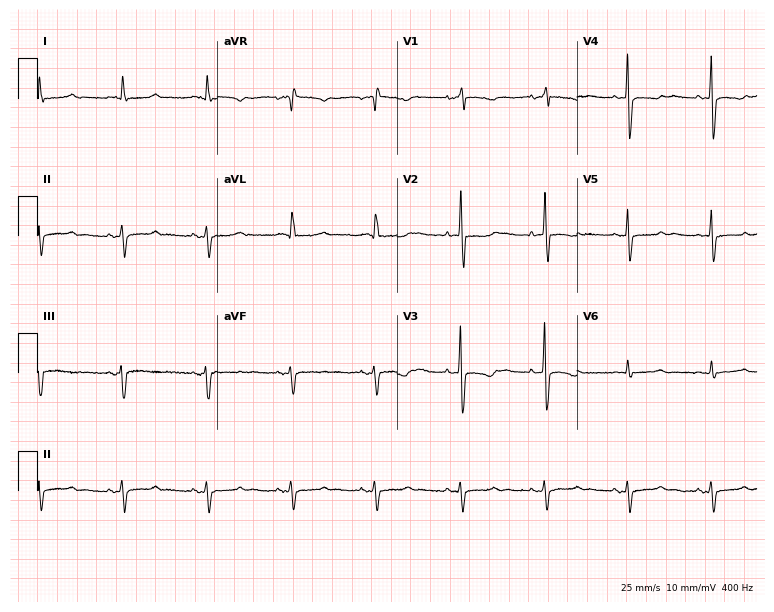
12-lead ECG from a female patient, 67 years old. No first-degree AV block, right bundle branch block (RBBB), left bundle branch block (LBBB), sinus bradycardia, atrial fibrillation (AF) or sinus tachycardia recorded for this tracing. Findings outside these six are not listed.